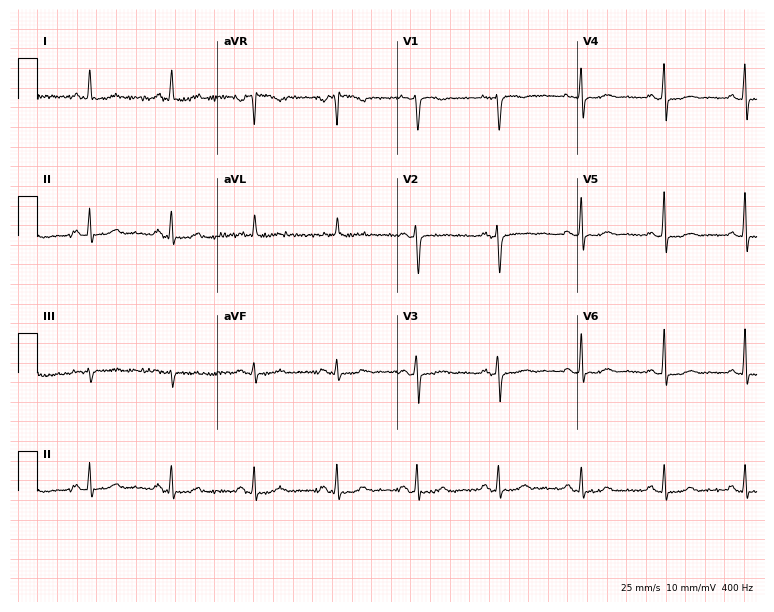
ECG — a female patient, 56 years old. Labelled as a normal ECG.